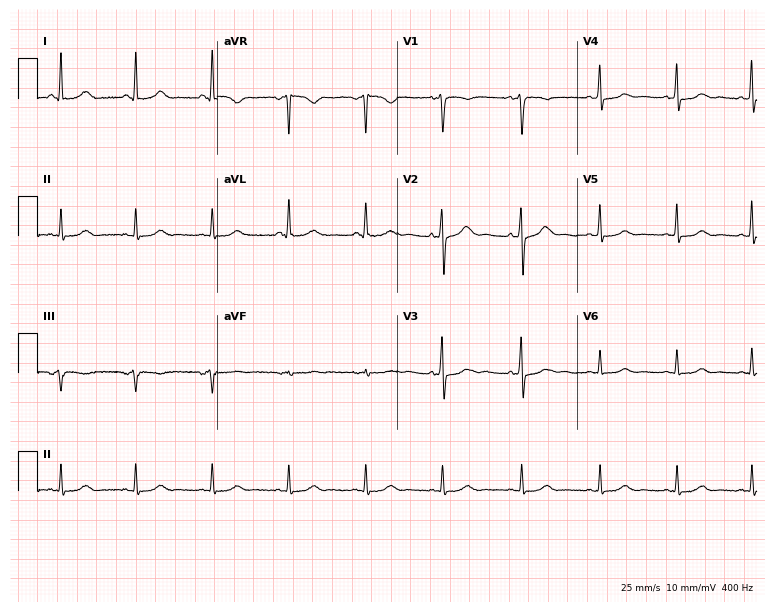
12-lead ECG from a woman, 56 years old (7.3-second recording at 400 Hz). Recorded interpretation: within normal limits.